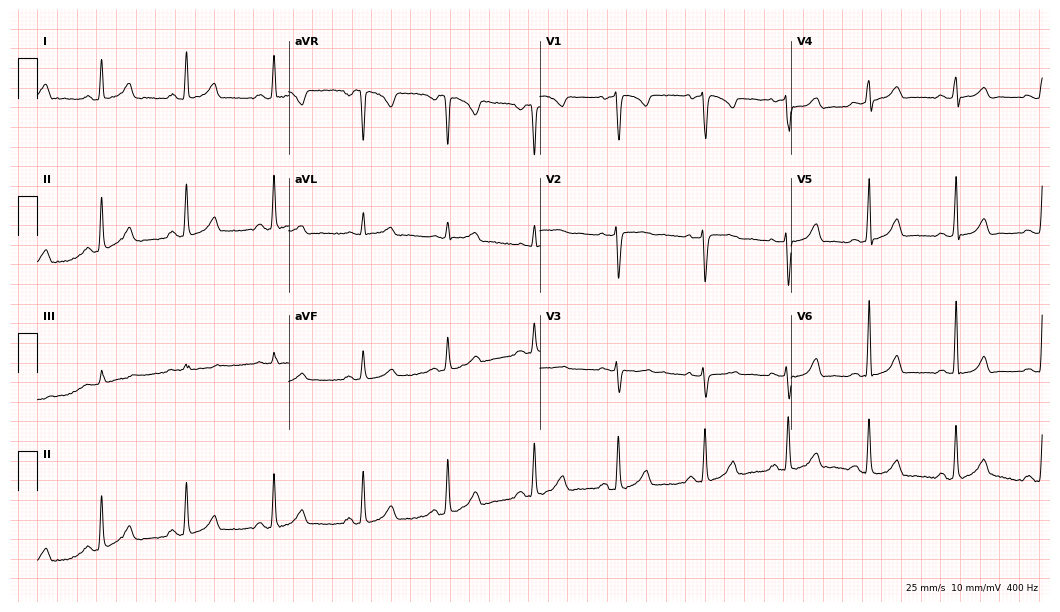
Electrocardiogram (10.2-second recording at 400 Hz), a 39-year-old female patient. Overall reading on record: normal ECG.